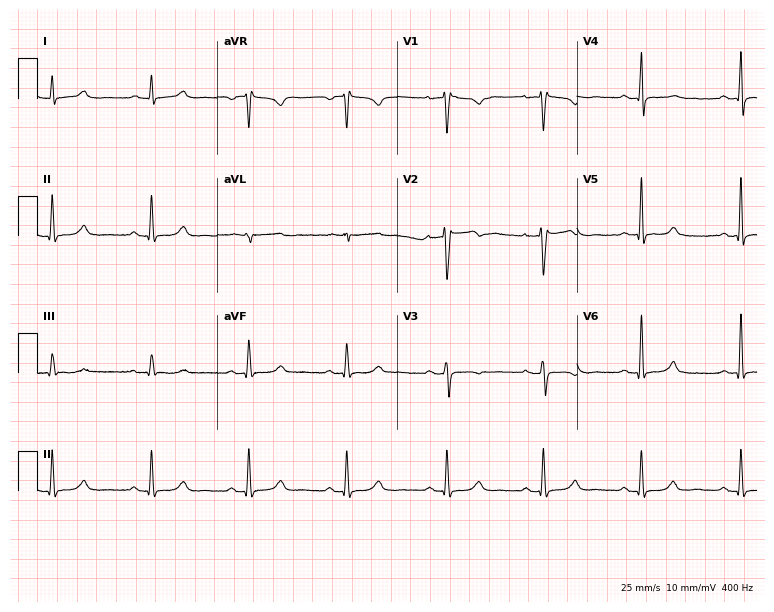
12-lead ECG from a 52-year-old woman. Labelled as a normal ECG.